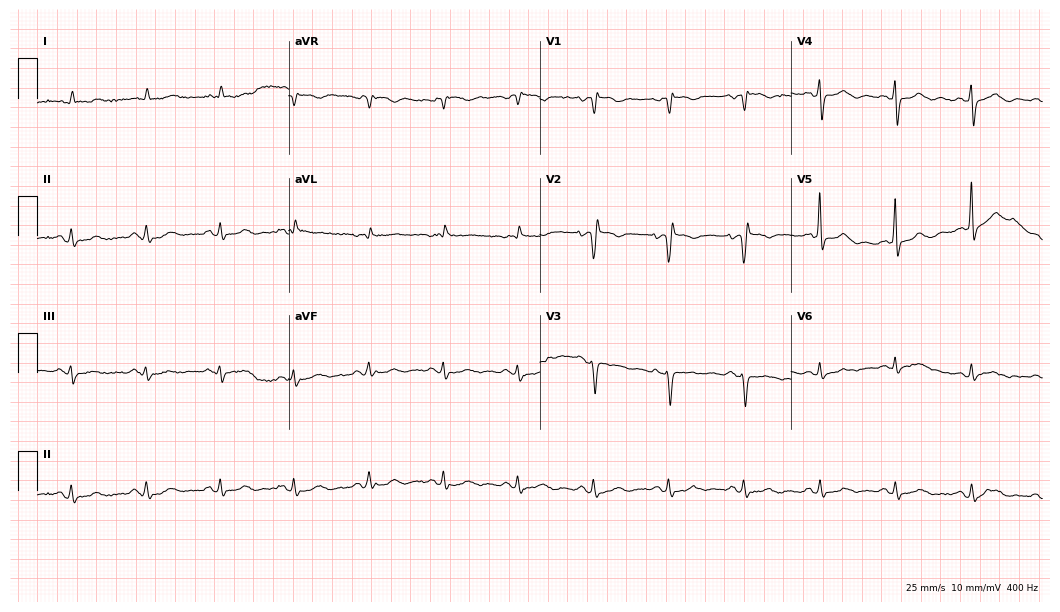
12-lead ECG from a female, 80 years old (10.2-second recording at 400 Hz). No first-degree AV block, right bundle branch block (RBBB), left bundle branch block (LBBB), sinus bradycardia, atrial fibrillation (AF) or sinus tachycardia recorded for this tracing.